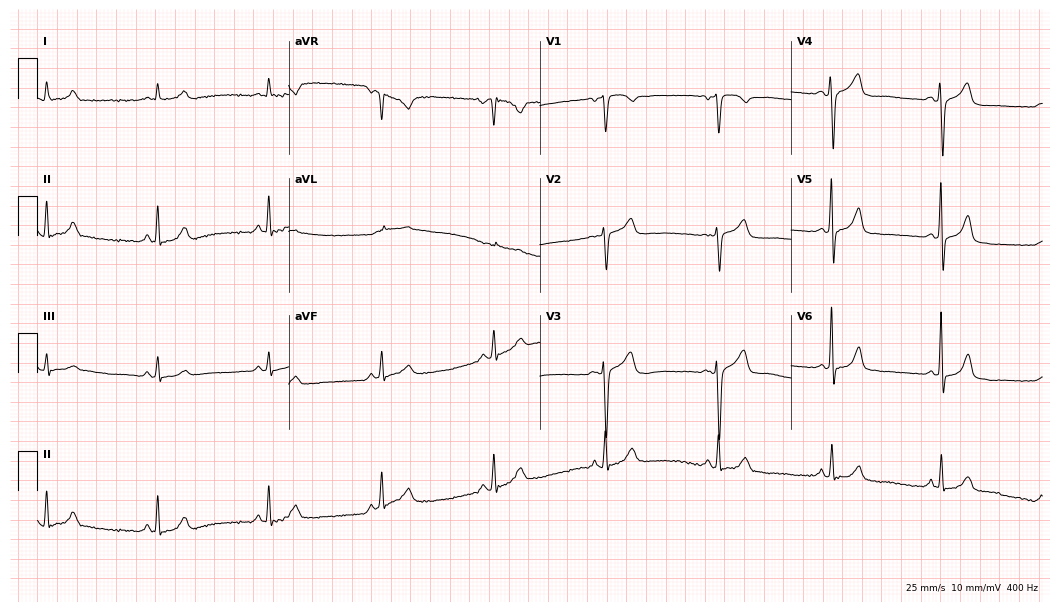
Resting 12-lead electrocardiogram. Patient: a 73-year-old female. Read as a normal ECG.